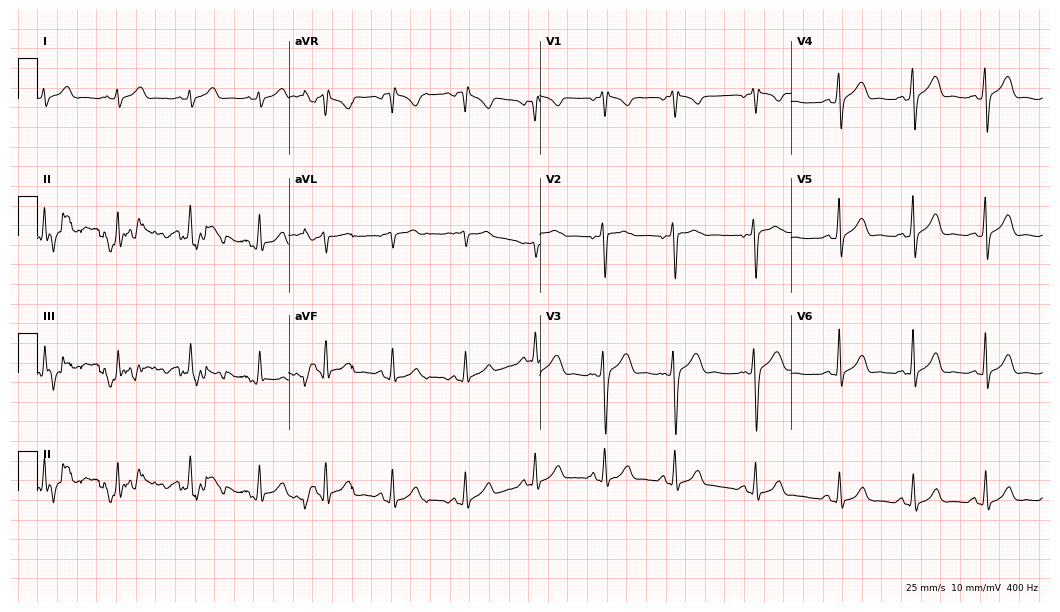
Standard 12-lead ECG recorded from a 28-year-old man. Read as a normal ECG.